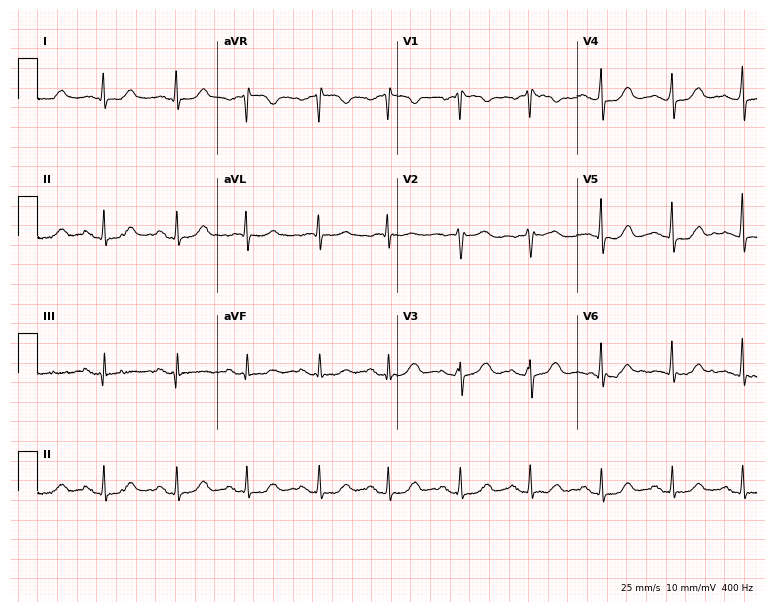
Resting 12-lead electrocardiogram (7.3-second recording at 400 Hz). Patient: an 80-year-old female. None of these six findings is recorded: first-degree AV block, right bundle branch block (RBBB), left bundle branch block (LBBB), sinus bradycardia, atrial fibrillation (AF), sinus tachycardia.